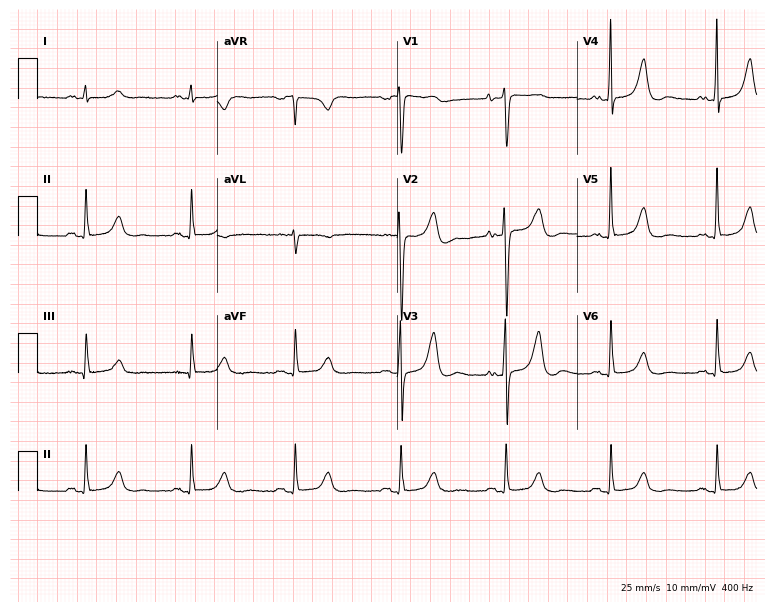
12-lead ECG from a 69-year-old woman (7.3-second recording at 400 Hz). No first-degree AV block, right bundle branch block, left bundle branch block, sinus bradycardia, atrial fibrillation or sinus tachycardia recorded for this tracing. Only these six findings were labelled.